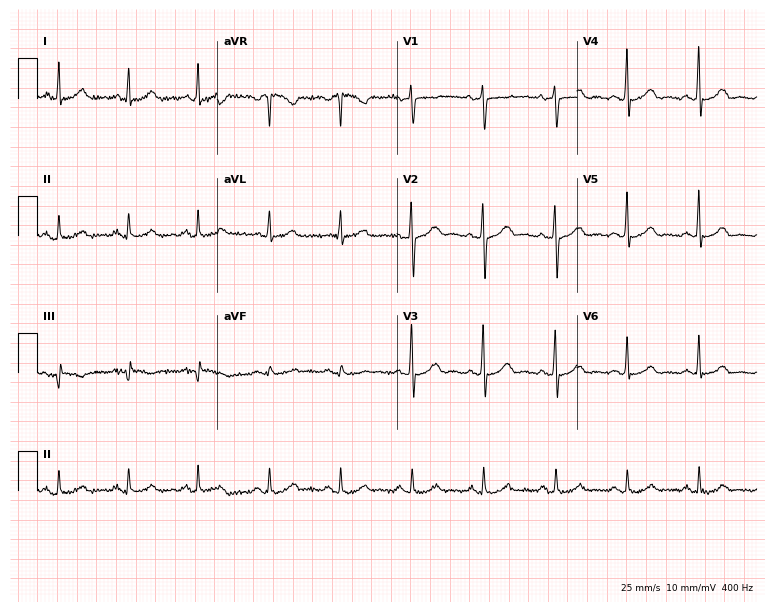
ECG (7.3-second recording at 400 Hz) — a 60-year-old female. Labelled as a normal ECG.